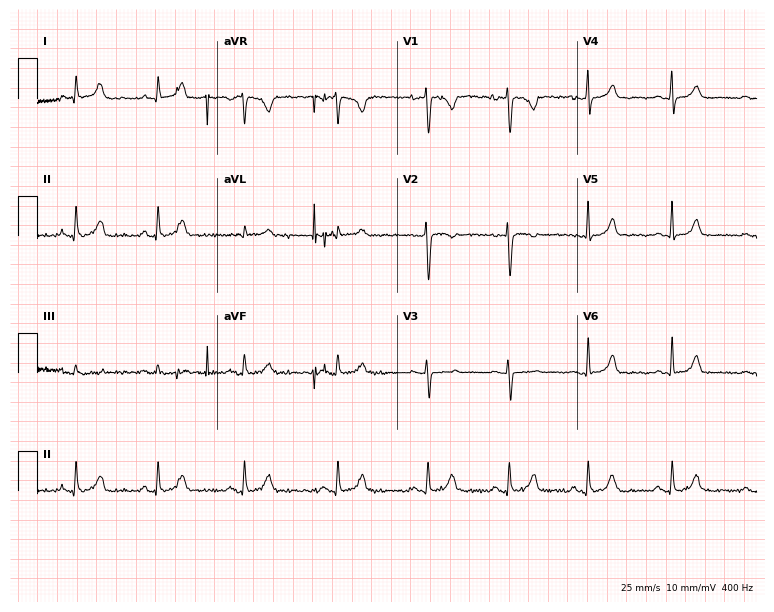
Electrocardiogram, a woman, 27 years old. Overall reading on record: normal ECG.